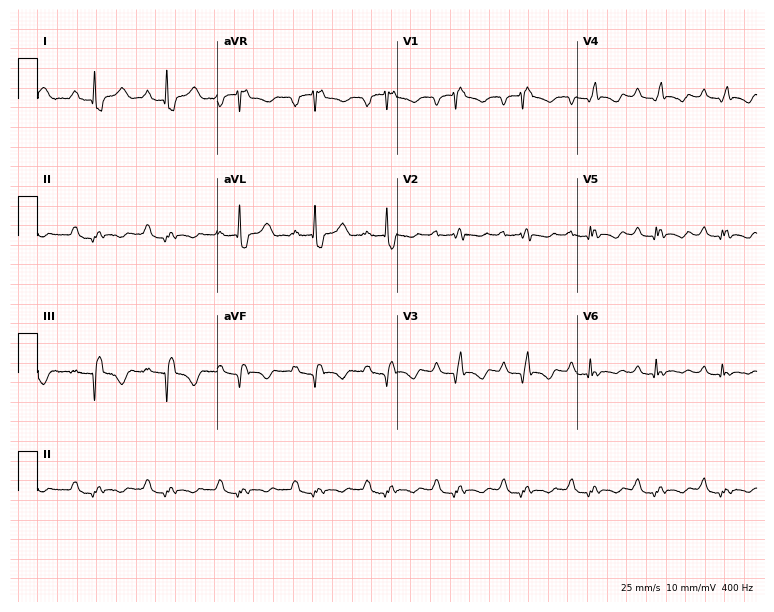
ECG (7.3-second recording at 400 Hz) — a 35-year-old female. Screened for six findings — first-degree AV block, right bundle branch block, left bundle branch block, sinus bradycardia, atrial fibrillation, sinus tachycardia — none is recorded. Findings outside these six are not listed.